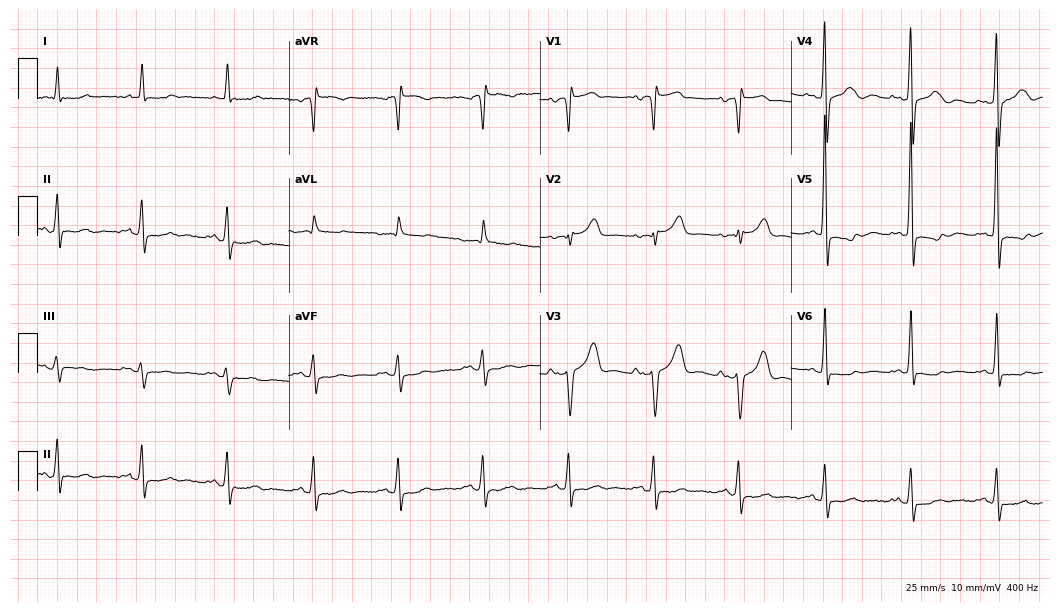
ECG — a male, 83 years old. Screened for six findings — first-degree AV block, right bundle branch block (RBBB), left bundle branch block (LBBB), sinus bradycardia, atrial fibrillation (AF), sinus tachycardia — none is recorded. Other findings, if any, are not listed.